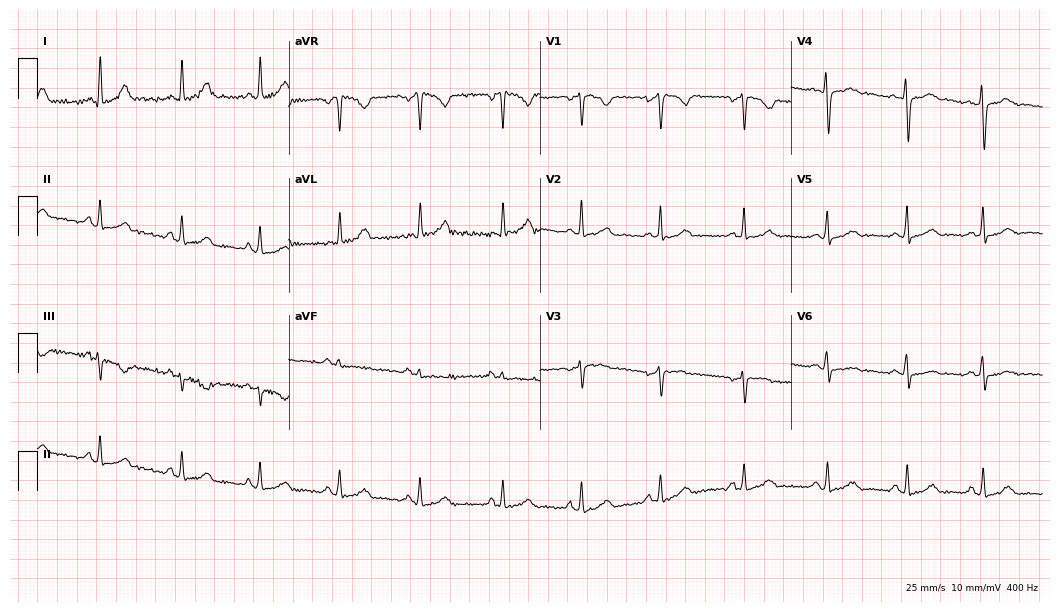
Resting 12-lead electrocardiogram. Patient: a 31-year-old female. None of these six findings is recorded: first-degree AV block, right bundle branch block (RBBB), left bundle branch block (LBBB), sinus bradycardia, atrial fibrillation (AF), sinus tachycardia. Findings outside these six are not listed.